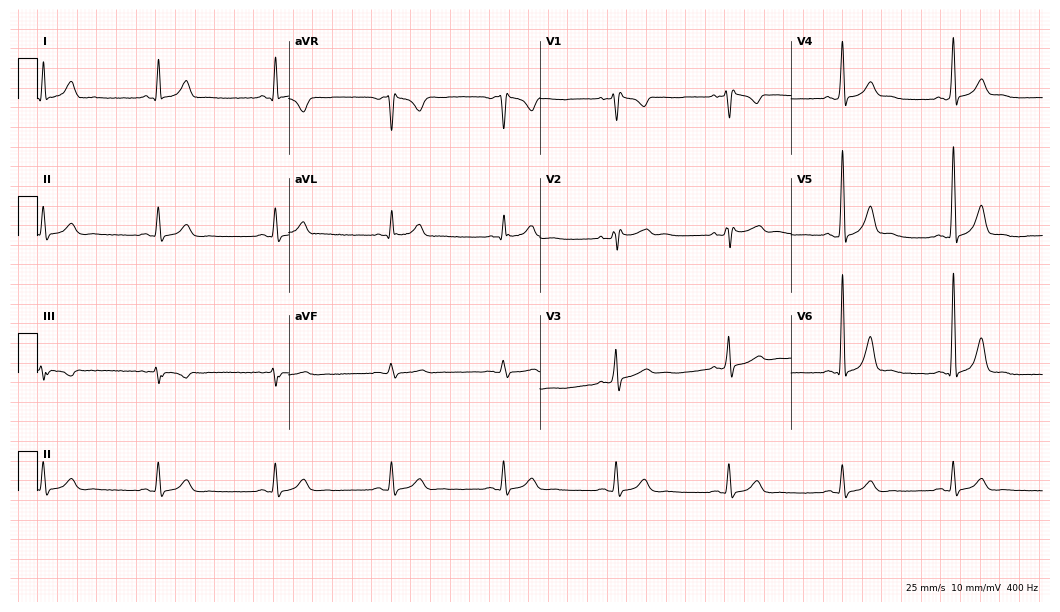
Electrocardiogram, a male patient, 51 years old. Of the six screened findings (first-degree AV block, right bundle branch block, left bundle branch block, sinus bradycardia, atrial fibrillation, sinus tachycardia), none is recorded. Other findings, if any, are not listed.